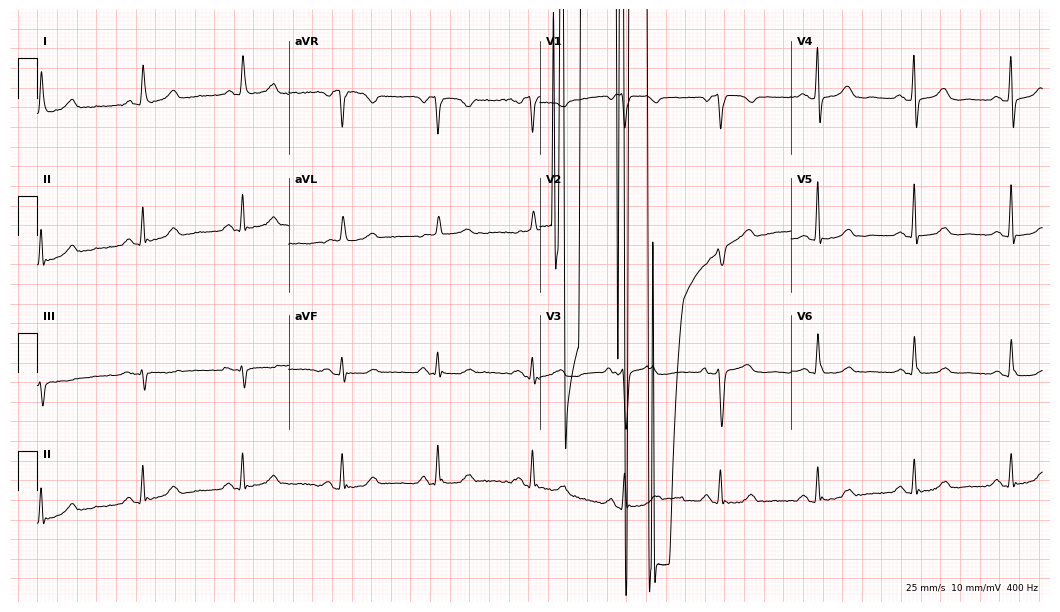
Resting 12-lead electrocardiogram (10.2-second recording at 400 Hz). Patient: a female, 69 years old. None of these six findings is recorded: first-degree AV block, right bundle branch block (RBBB), left bundle branch block (LBBB), sinus bradycardia, atrial fibrillation (AF), sinus tachycardia.